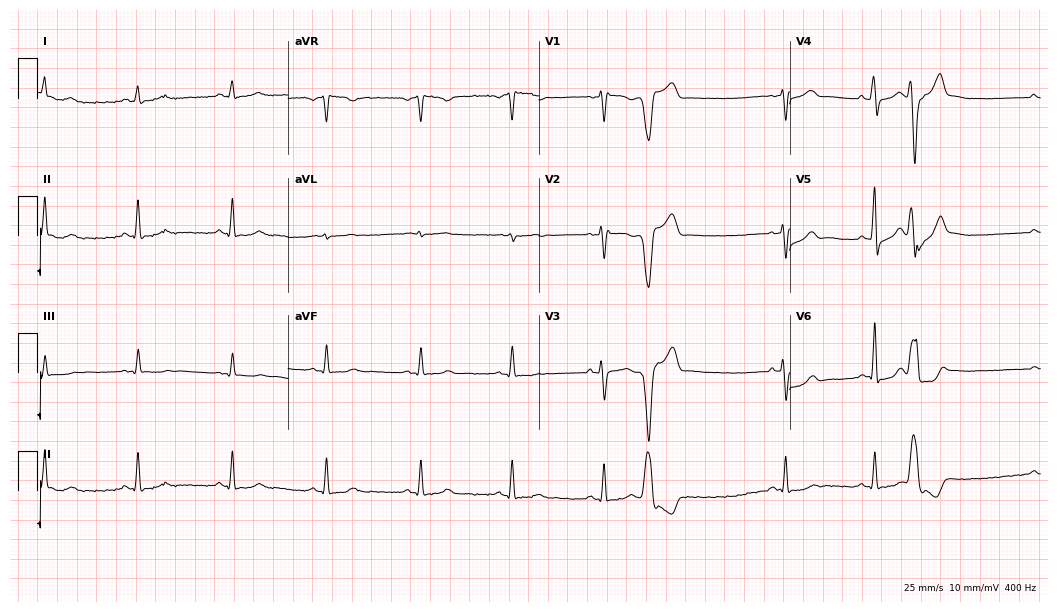
12-lead ECG from a 51-year-old female patient (10.2-second recording at 400 Hz). No first-degree AV block, right bundle branch block, left bundle branch block, sinus bradycardia, atrial fibrillation or sinus tachycardia recorded for this tracing.